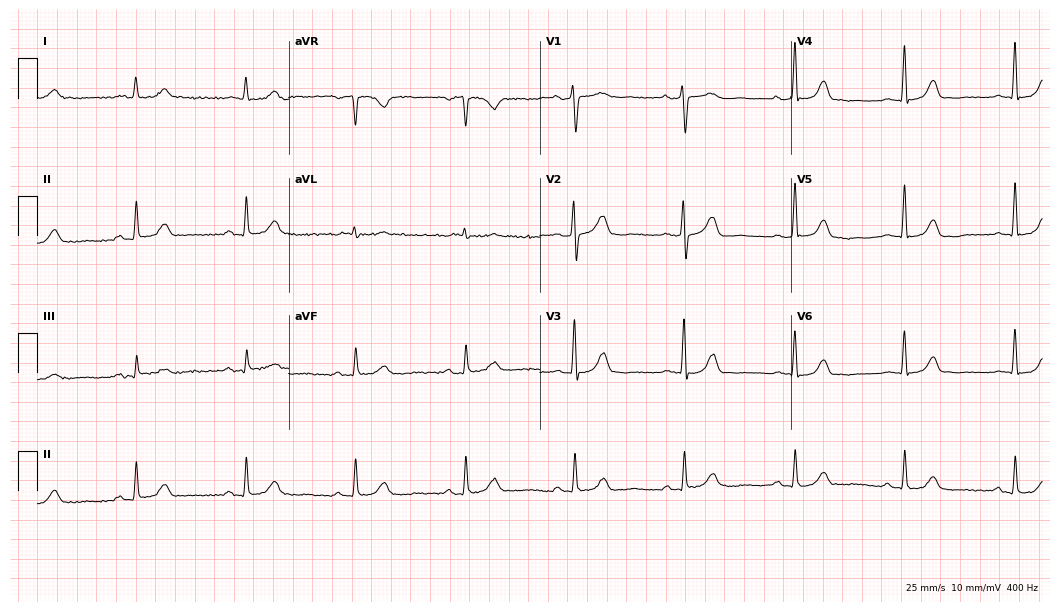
Standard 12-lead ECG recorded from an 82-year-old female. Read as a normal ECG.